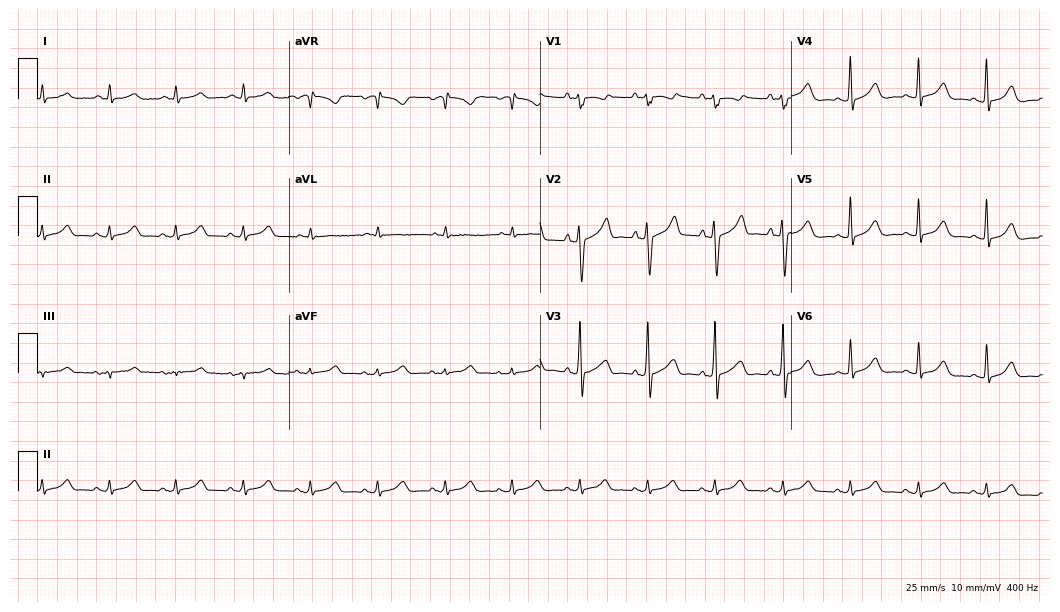
12-lead ECG (10.2-second recording at 400 Hz) from a 50-year-old man. Labelled as a normal ECG.